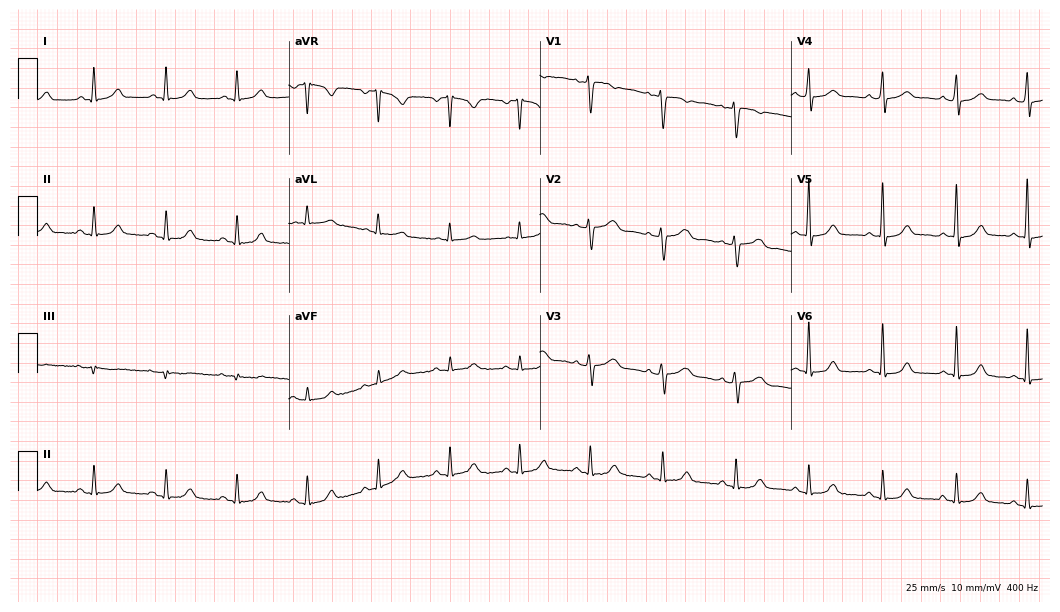
Resting 12-lead electrocardiogram (10.2-second recording at 400 Hz). Patient: a female, 48 years old. Read as a normal ECG.